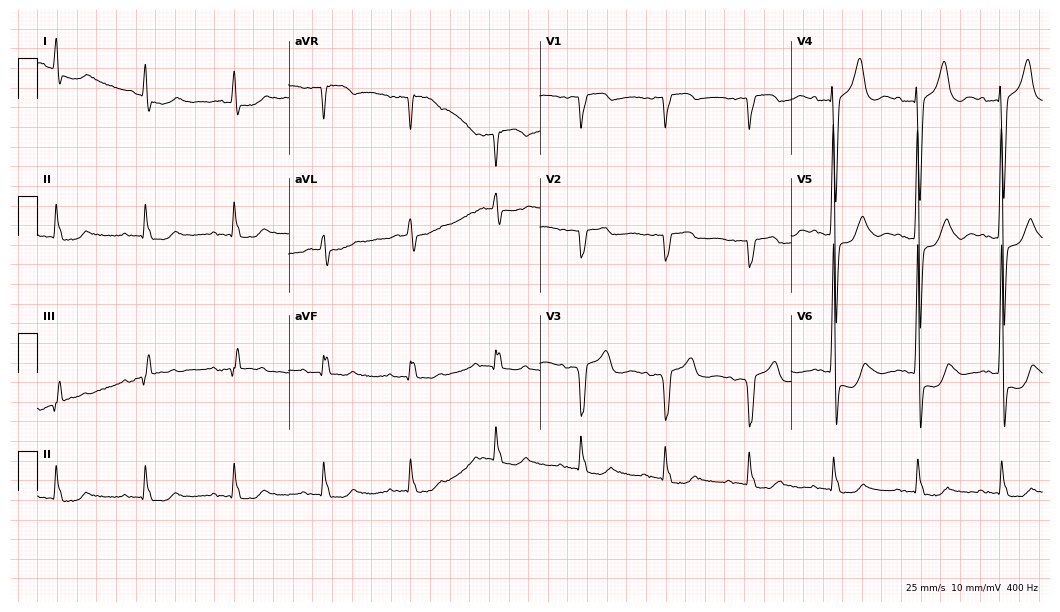
ECG — a 62-year-old man. Screened for six findings — first-degree AV block, right bundle branch block, left bundle branch block, sinus bradycardia, atrial fibrillation, sinus tachycardia — none is recorded. Only these six findings were labelled.